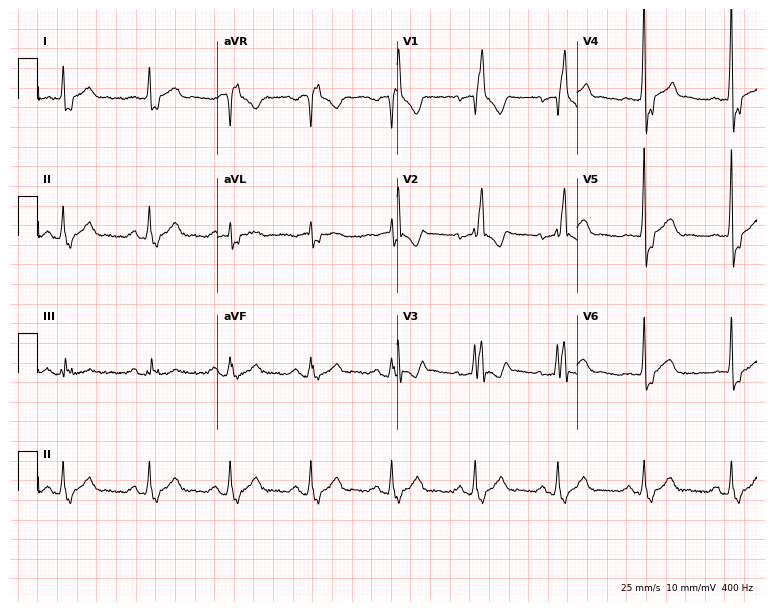
12-lead ECG from a 64-year-old male patient. Findings include right bundle branch block.